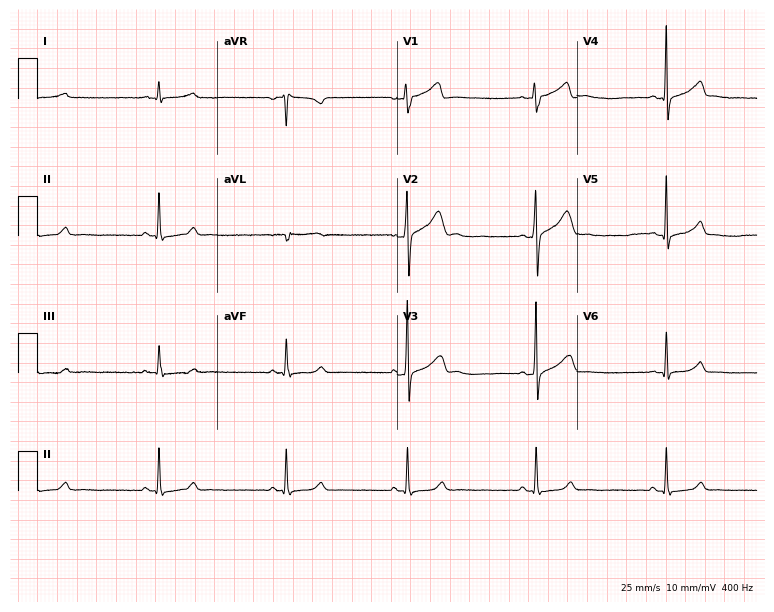
Standard 12-lead ECG recorded from a male, 32 years old (7.3-second recording at 400 Hz). The tracing shows sinus bradycardia (a sinus rate of 50 beats per minute or less).